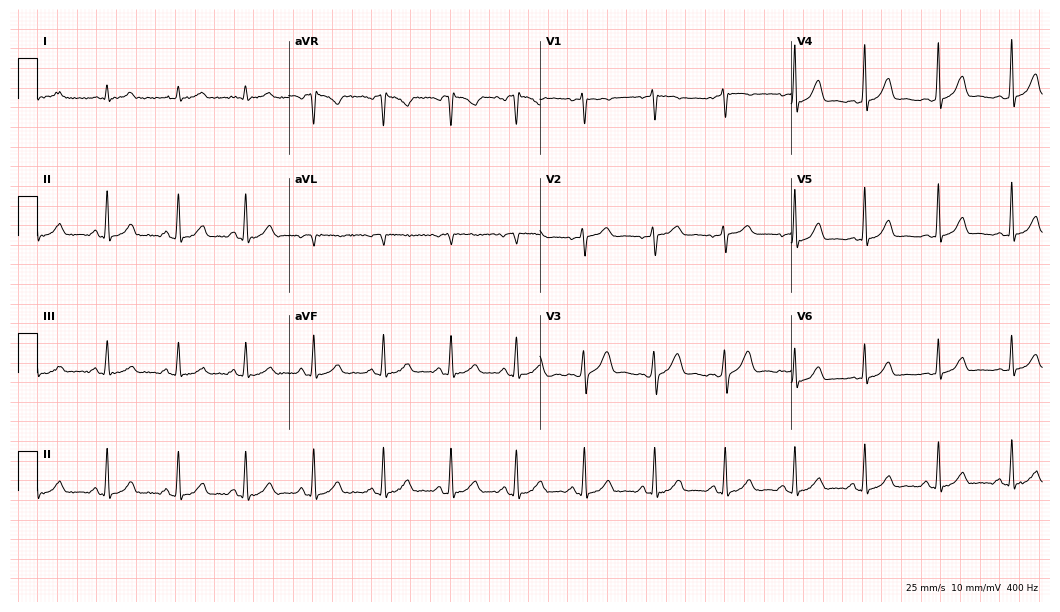
Electrocardiogram, a female, 33 years old. Overall reading on record: normal ECG.